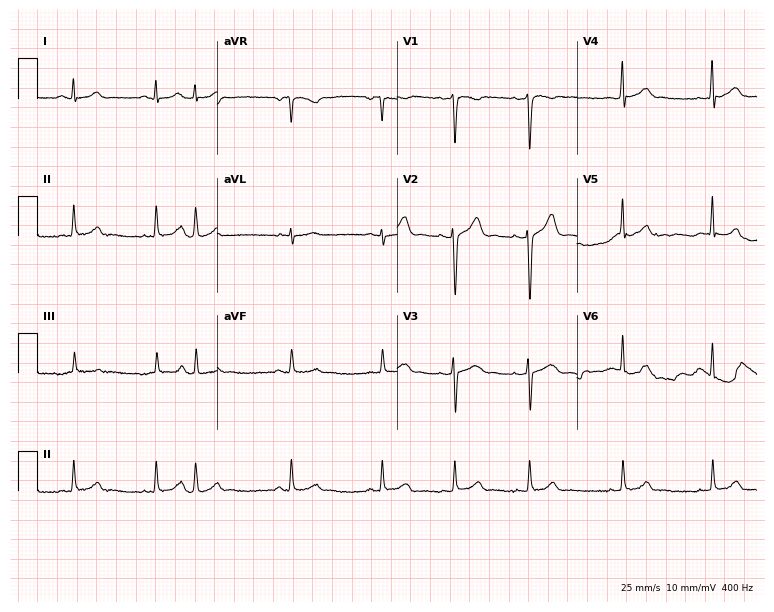
Electrocardiogram (7.3-second recording at 400 Hz), a 23-year-old female. Overall reading on record: normal ECG.